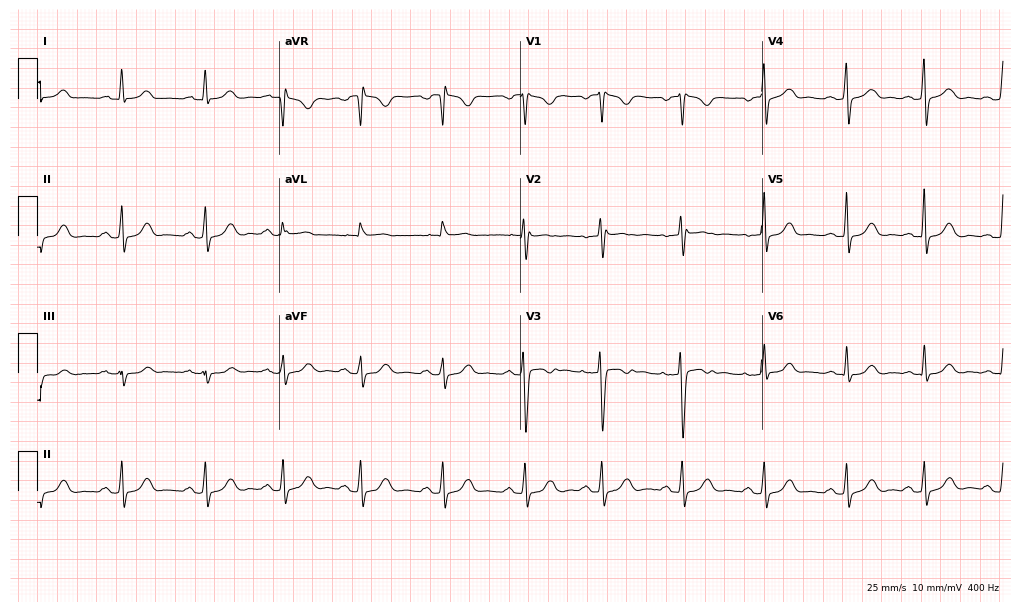
12-lead ECG from a 28-year-old female. Recorded interpretation: within normal limits.